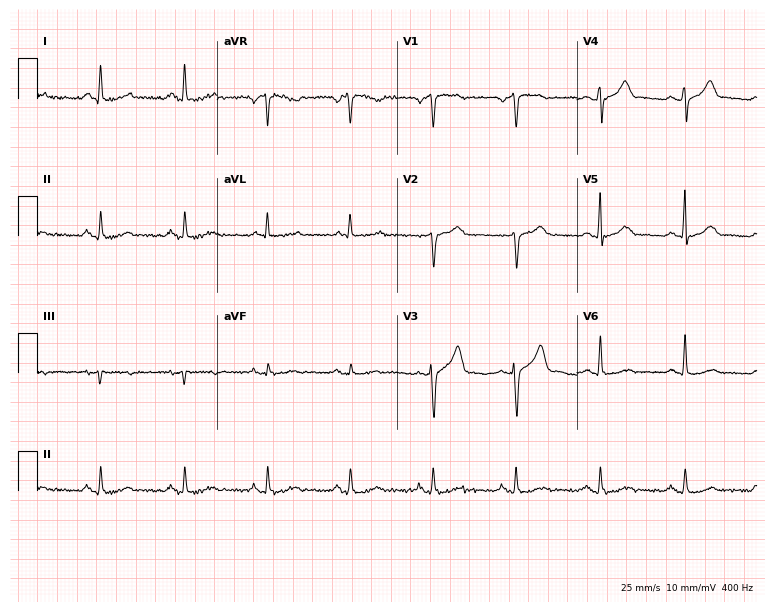
ECG (7.3-second recording at 400 Hz) — a man, 55 years old. Screened for six findings — first-degree AV block, right bundle branch block, left bundle branch block, sinus bradycardia, atrial fibrillation, sinus tachycardia — none is recorded. Only these six findings were labelled.